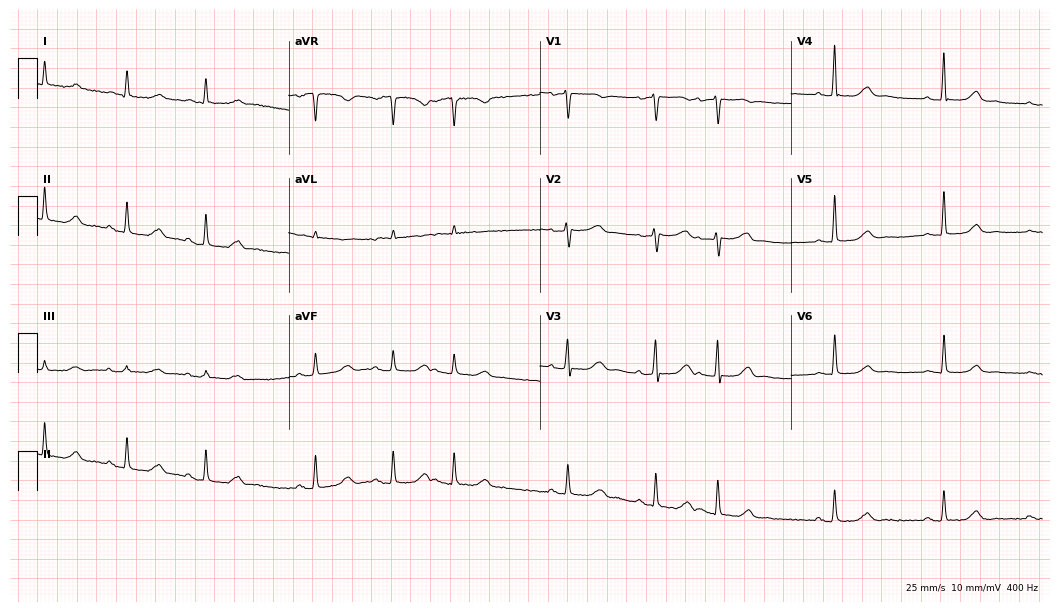
12-lead ECG from a female, 84 years old (10.2-second recording at 400 Hz). No first-degree AV block, right bundle branch block, left bundle branch block, sinus bradycardia, atrial fibrillation or sinus tachycardia recorded for this tracing. Other findings, if any, are not listed.